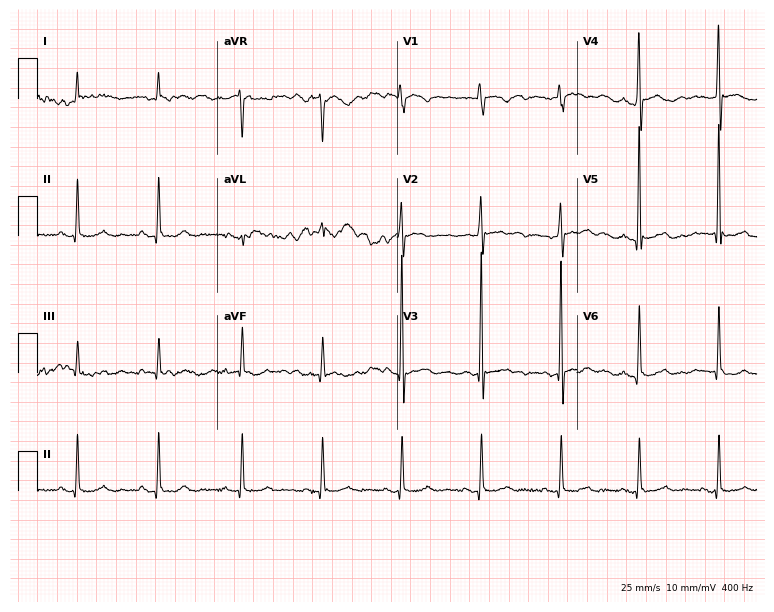
Resting 12-lead electrocardiogram. Patient: an 81-year-old female. None of these six findings is recorded: first-degree AV block, right bundle branch block (RBBB), left bundle branch block (LBBB), sinus bradycardia, atrial fibrillation (AF), sinus tachycardia.